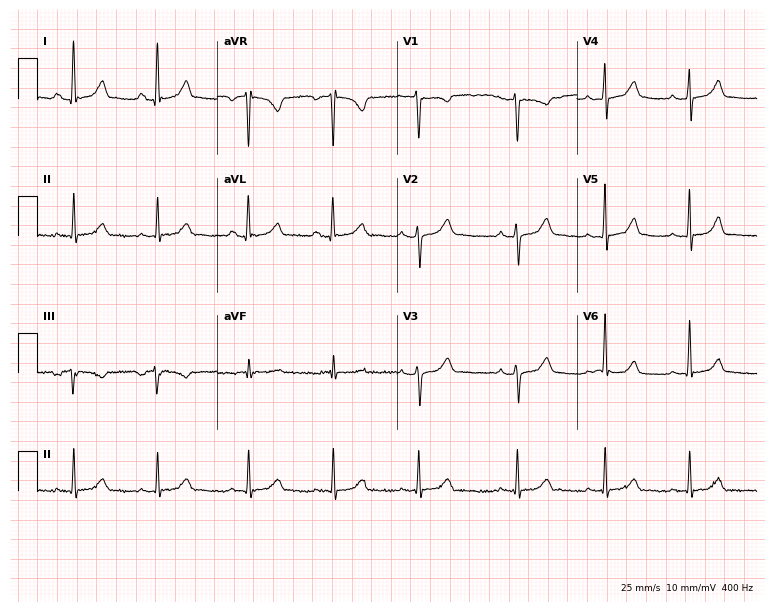
12-lead ECG from a woman, 24 years old (7.3-second recording at 400 Hz). Recorded interpretation: within normal limits.